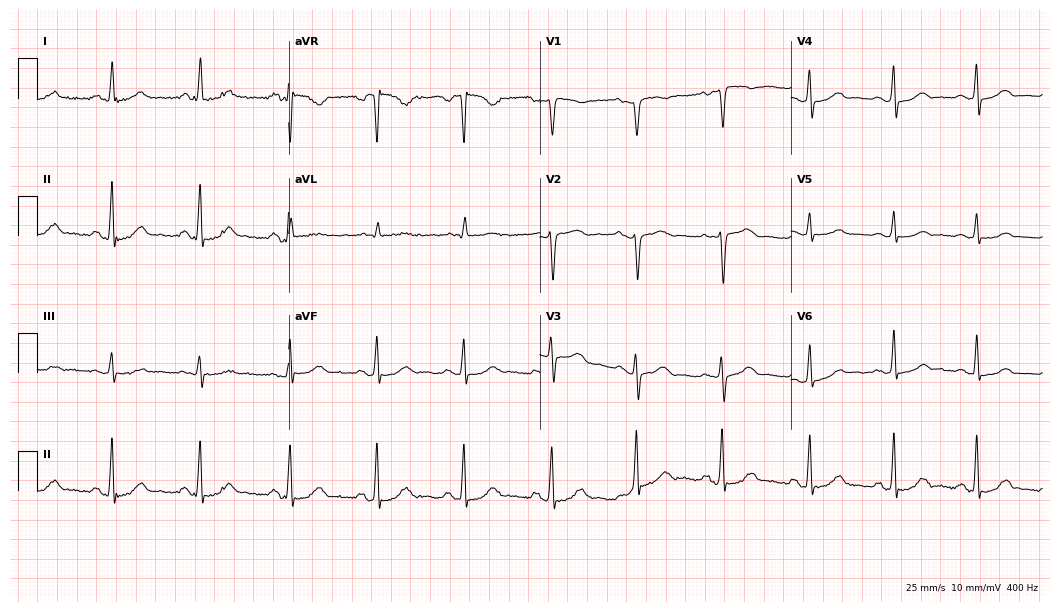
ECG — a female patient, 48 years old. Labelled as a normal ECG.